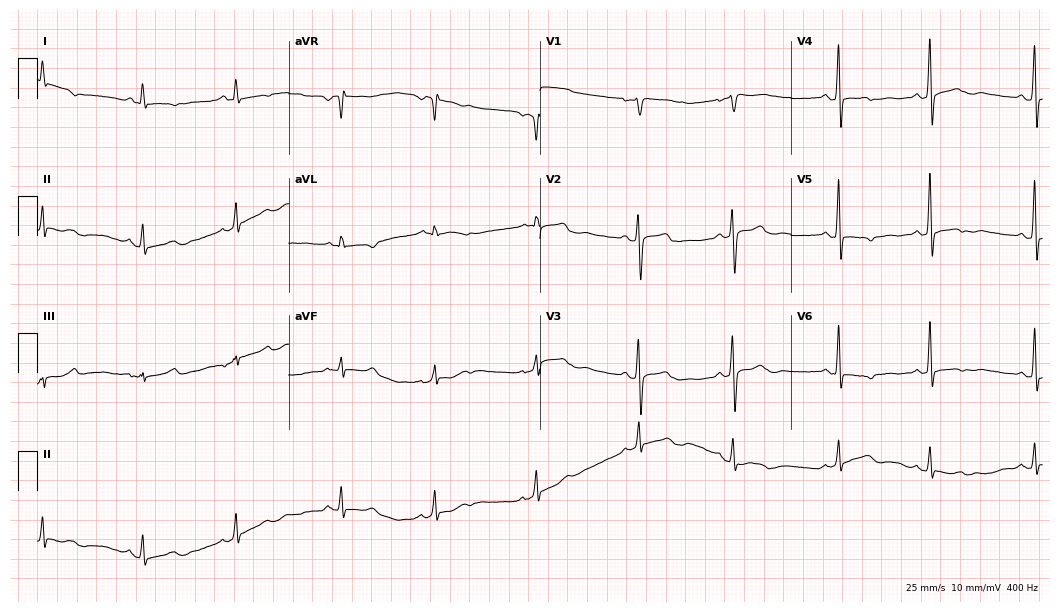
Resting 12-lead electrocardiogram. Patient: a woman, 28 years old. None of these six findings is recorded: first-degree AV block, right bundle branch block, left bundle branch block, sinus bradycardia, atrial fibrillation, sinus tachycardia.